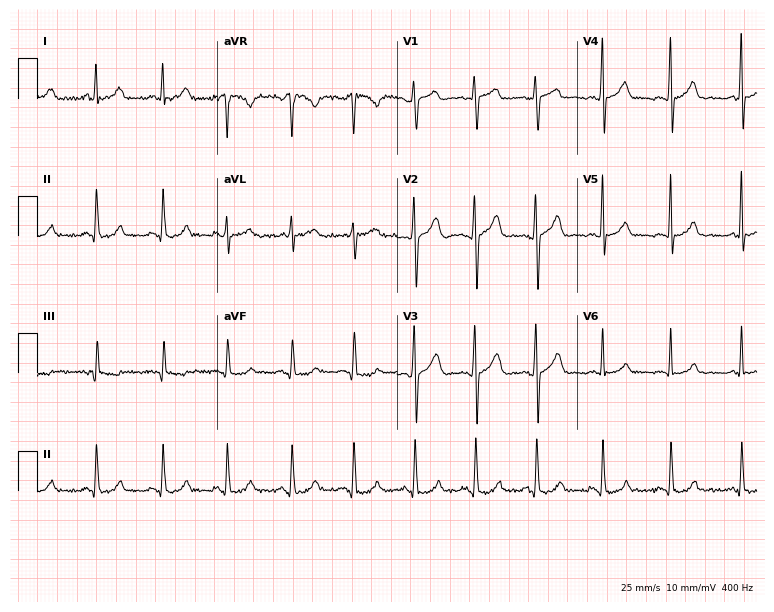
ECG (7.3-second recording at 400 Hz) — a 24-year-old female patient. Screened for six findings — first-degree AV block, right bundle branch block, left bundle branch block, sinus bradycardia, atrial fibrillation, sinus tachycardia — none is recorded. Findings outside these six are not listed.